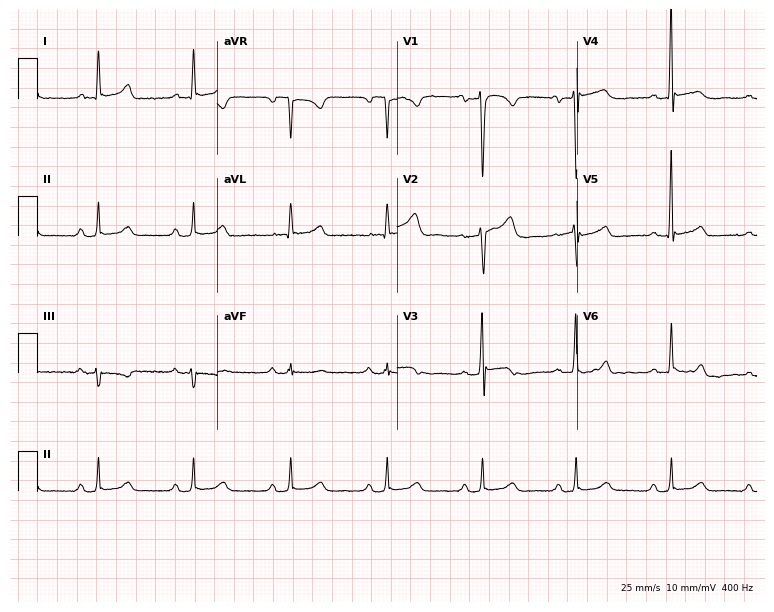
12-lead ECG from a 57-year-old male. Labelled as a normal ECG.